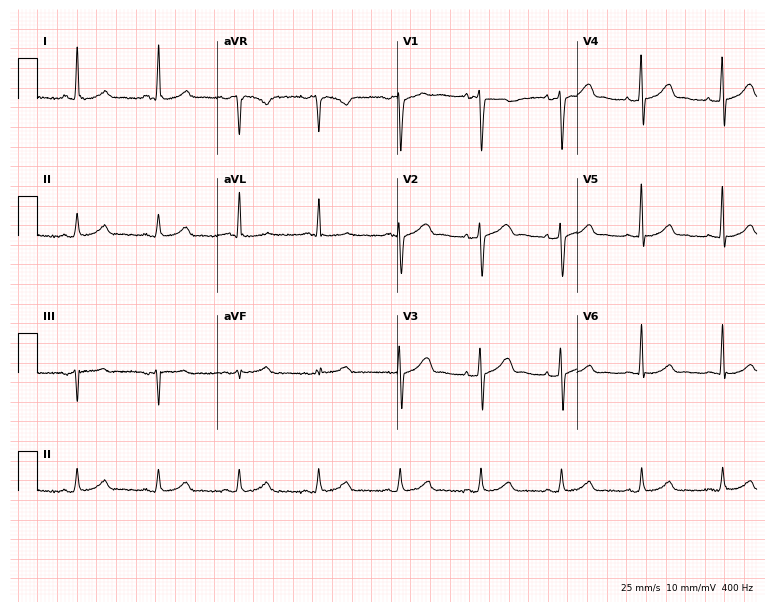
Electrocardiogram, a woman, 50 years old. Overall reading on record: normal ECG.